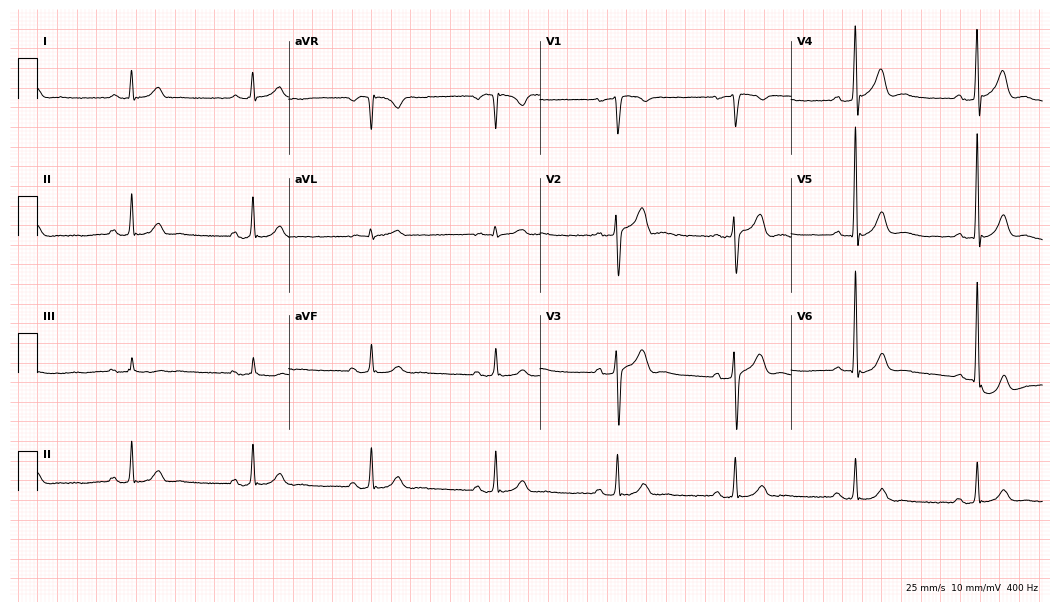
ECG — a male patient, 46 years old. Findings include sinus bradycardia (a sinus rate of 50 beats per minute or less).